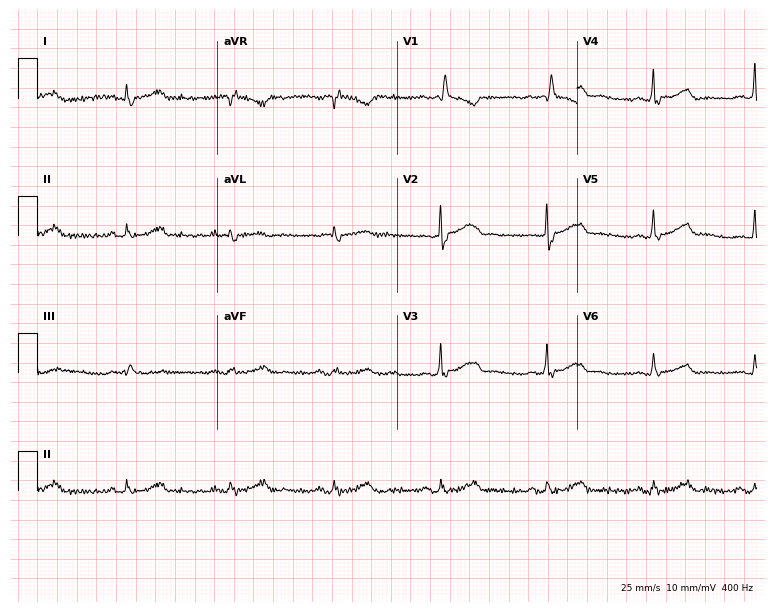
12-lead ECG (7.3-second recording at 400 Hz) from a male patient, 70 years old. Screened for six findings — first-degree AV block, right bundle branch block, left bundle branch block, sinus bradycardia, atrial fibrillation, sinus tachycardia — none is recorded. Only these six findings were labelled.